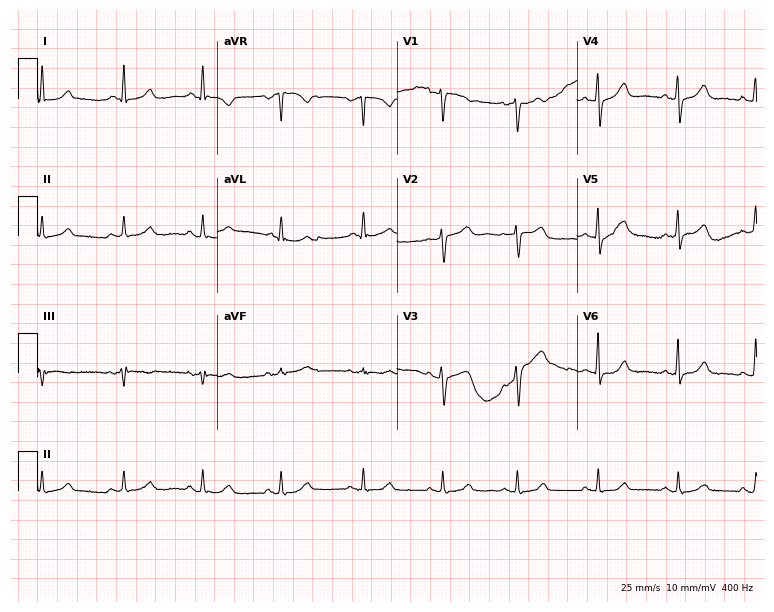
Standard 12-lead ECG recorded from an 82-year-old woman. Read as a normal ECG.